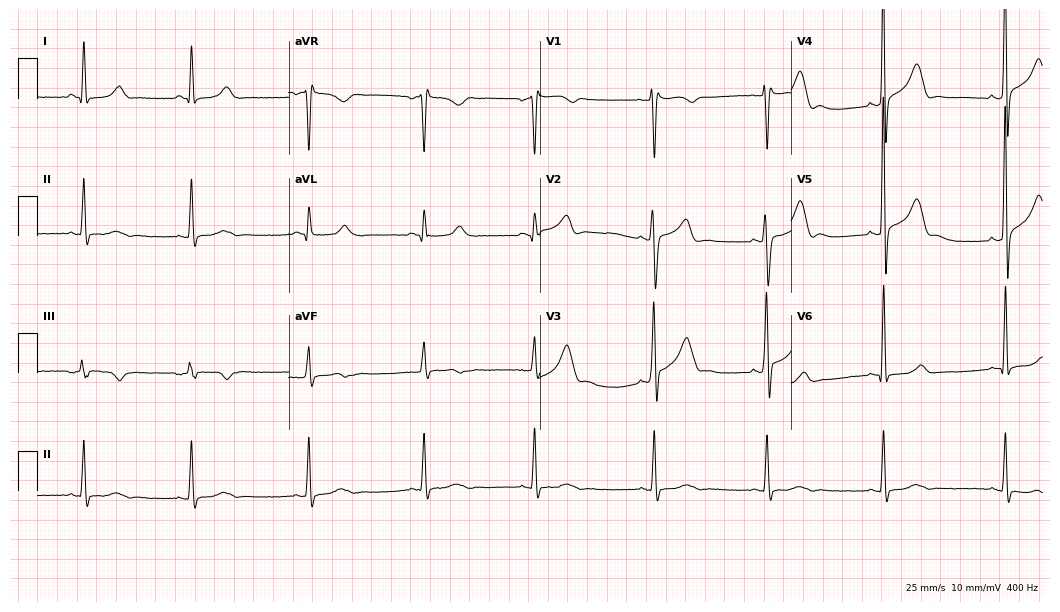
Standard 12-lead ECG recorded from a male patient, 44 years old (10.2-second recording at 400 Hz). None of these six findings is recorded: first-degree AV block, right bundle branch block, left bundle branch block, sinus bradycardia, atrial fibrillation, sinus tachycardia.